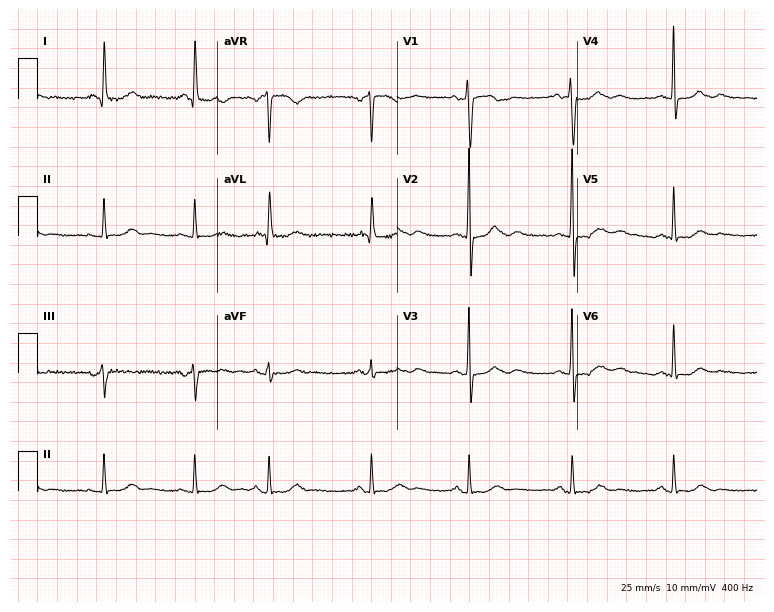
ECG (7.3-second recording at 400 Hz) — a 65-year-old woman. Screened for six findings — first-degree AV block, right bundle branch block, left bundle branch block, sinus bradycardia, atrial fibrillation, sinus tachycardia — none is recorded.